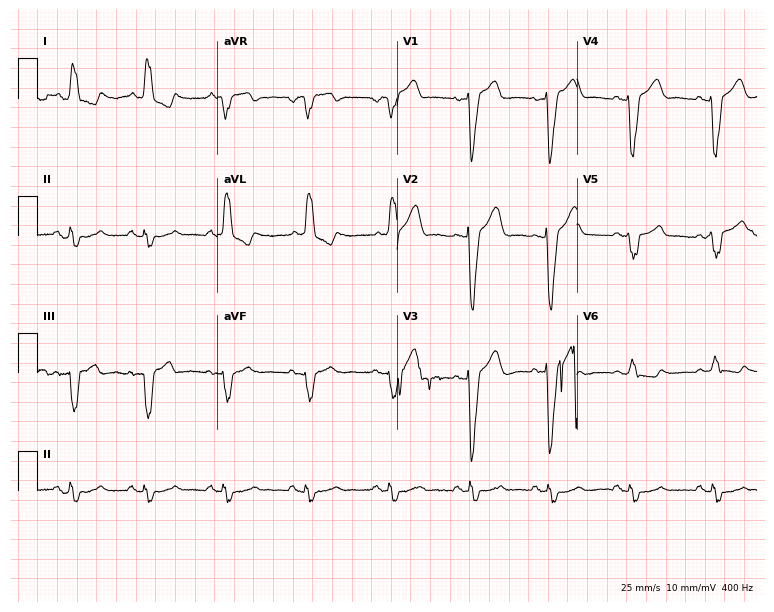
12-lead ECG from a woman, 67 years old. Shows left bundle branch block.